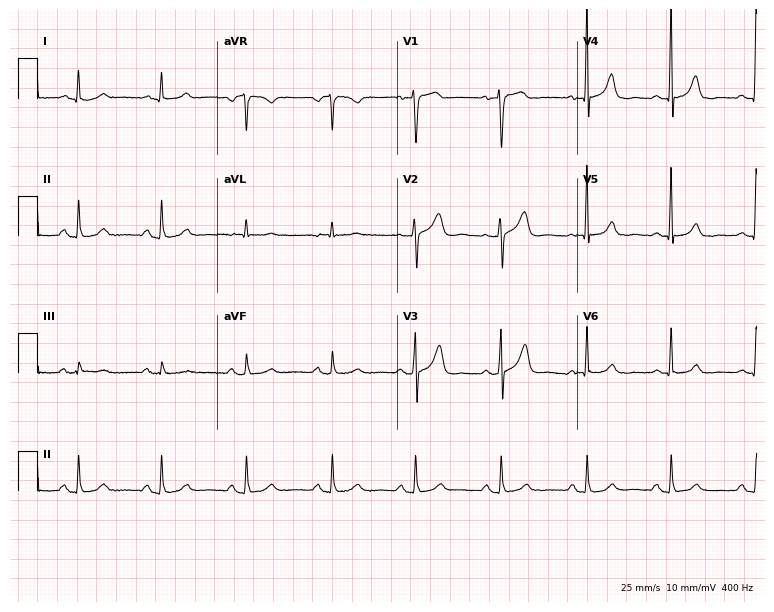
12-lead ECG from a 53-year-old female. Recorded interpretation: within normal limits.